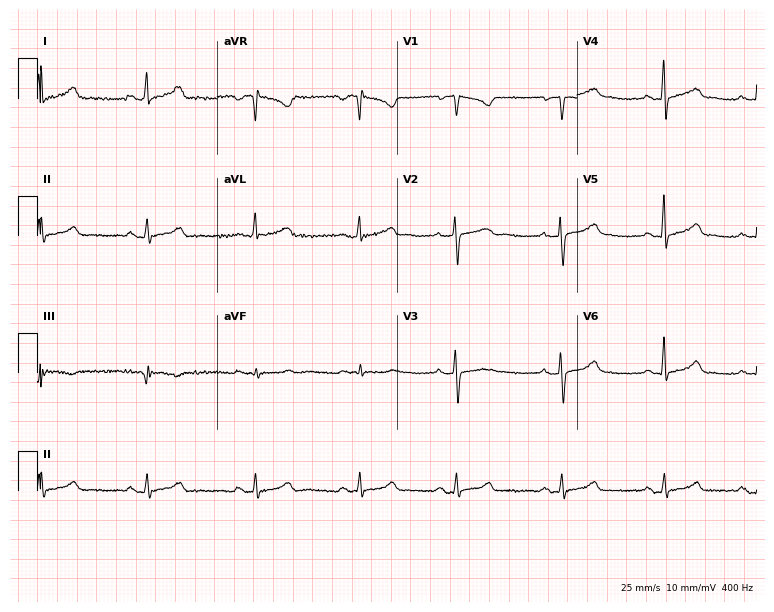
Electrocardiogram (7.3-second recording at 400 Hz), a female, 32 years old. Of the six screened findings (first-degree AV block, right bundle branch block, left bundle branch block, sinus bradycardia, atrial fibrillation, sinus tachycardia), none is recorded. Findings outside these six are not listed.